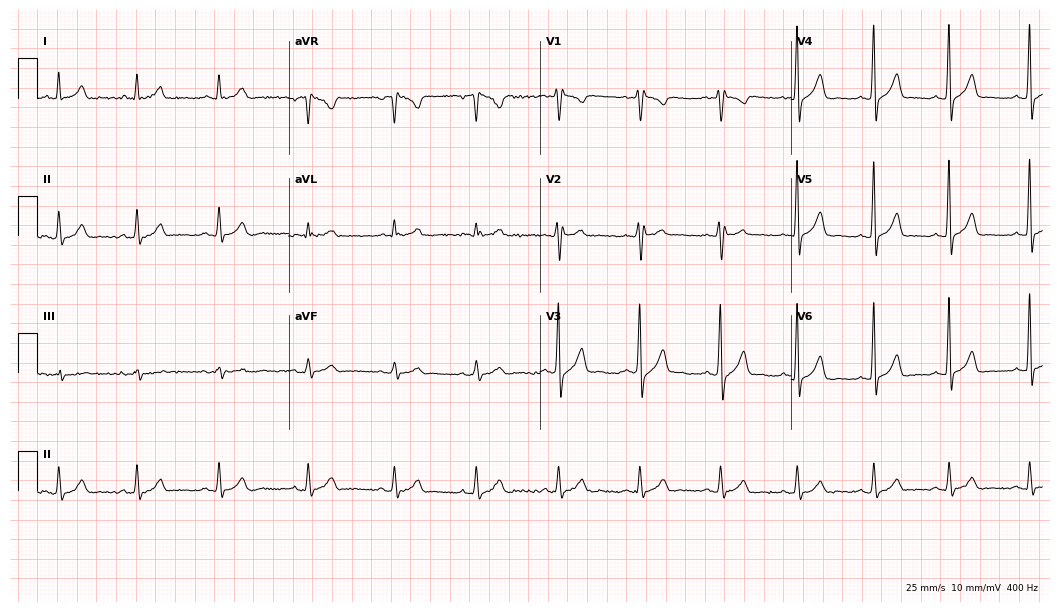
12-lead ECG from a 24-year-old male (10.2-second recording at 400 Hz). No first-degree AV block, right bundle branch block (RBBB), left bundle branch block (LBBB), sinus bradycardia, atrial fibrillation (AF) or sinus tachycardia recorded for this tracing.